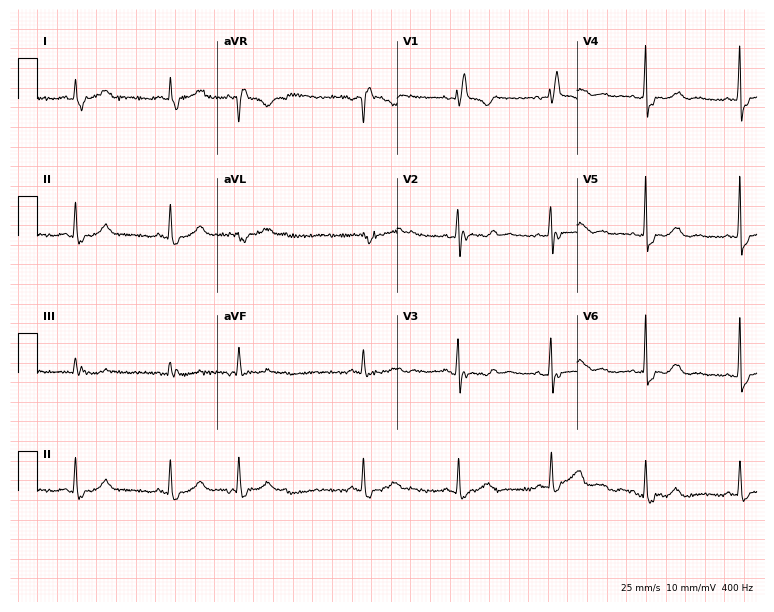
Electrocardiogram, a 65-year-old female. Interpretation includes right bundle branch block.